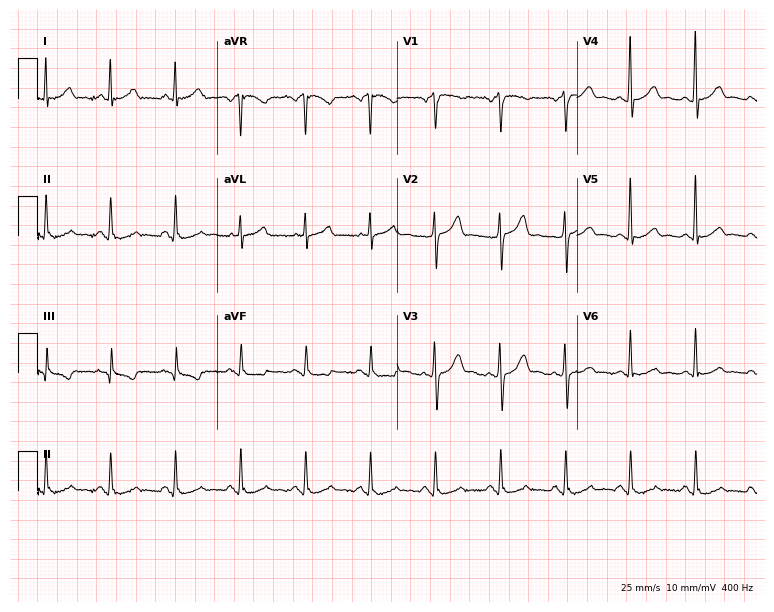
Standard 12-lead ECG recorded from a man, 47 years old. Read as a normal ECG.